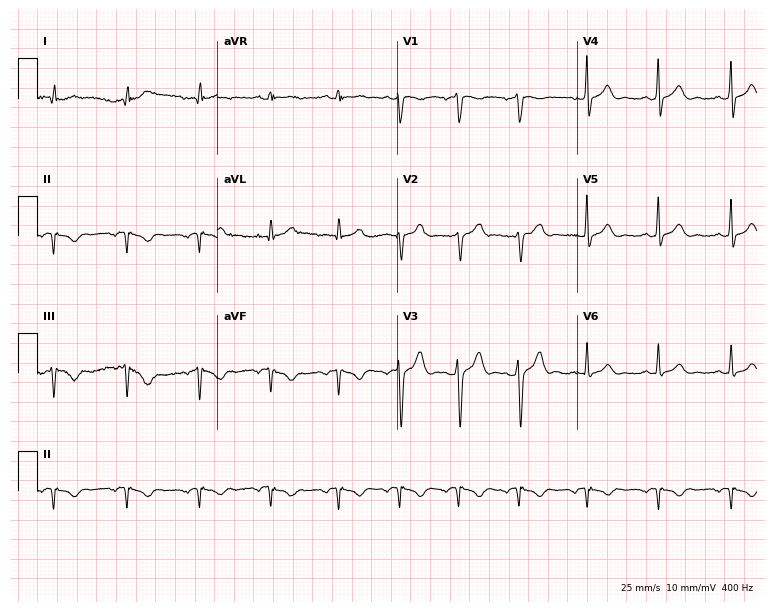
12-lead ECG from a 59-year-old male. No first-degree AV block, right bundle branch block (RBBB), left bundle branch block (LBBB), sinus bradycardia, atrial fibrillation (AF) or sinus tachycardia recorded for this tracing.